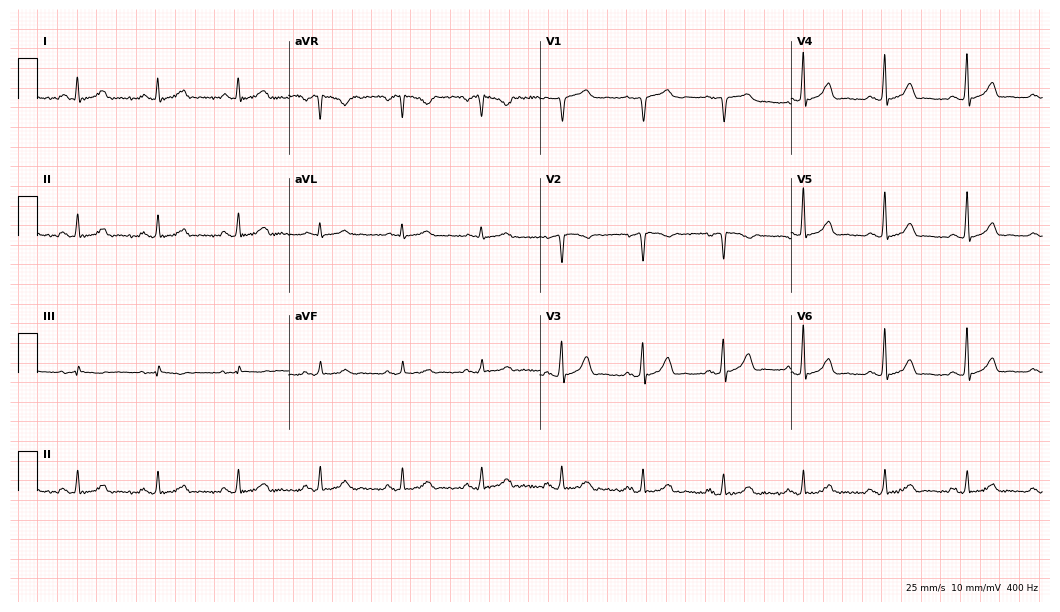
Standard 12-lead ECG recorded from a man, 48 years old (10.2-second recording at 400 Hz). Read as a normal ECG.